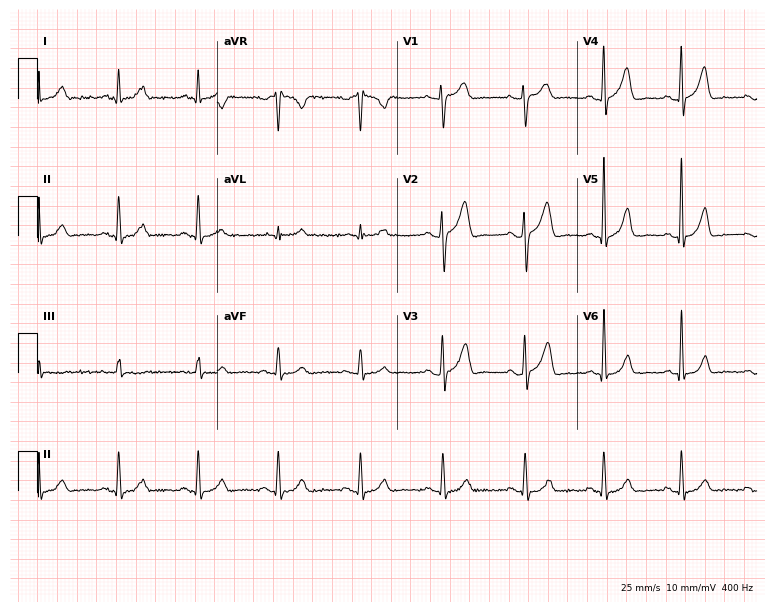
12-lead ECG from a 37-year-old male patient. Recorded interpretation: within normal limits.